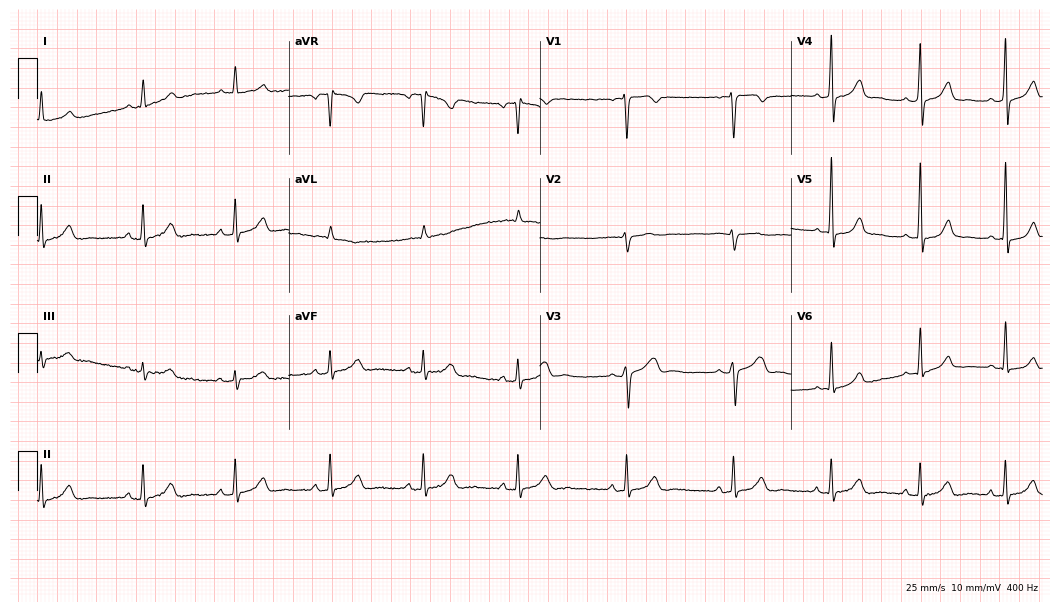
Standard 12-lead ECG recorded from a male patient, 28 years old (10.2-second recording at 400 Hz). Read as a normal ECG.